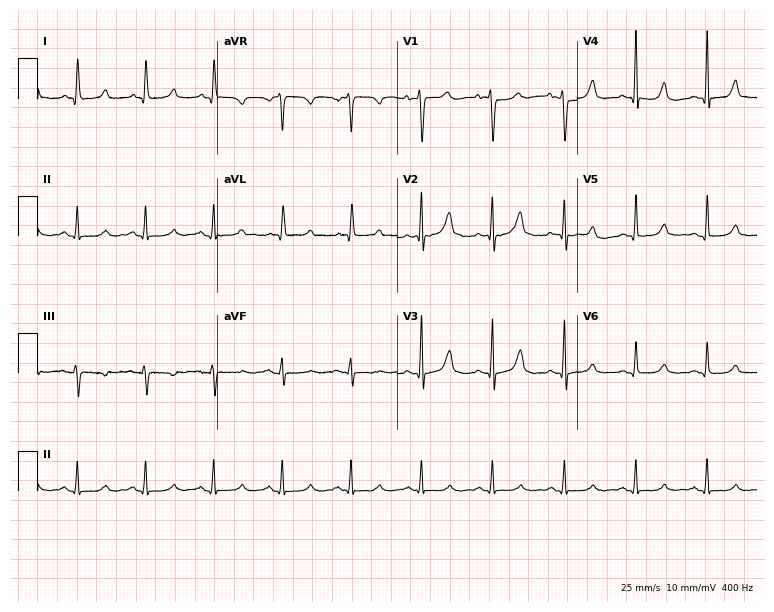
ECG — a woman, 41 years old. Screened for six findings — first-degree AV block, right bundle branch block, left bundle branch block, sinus bradycardia, atrial fibrillation, sinus tachycardia — none is recorded. Only these six findings were labelled.